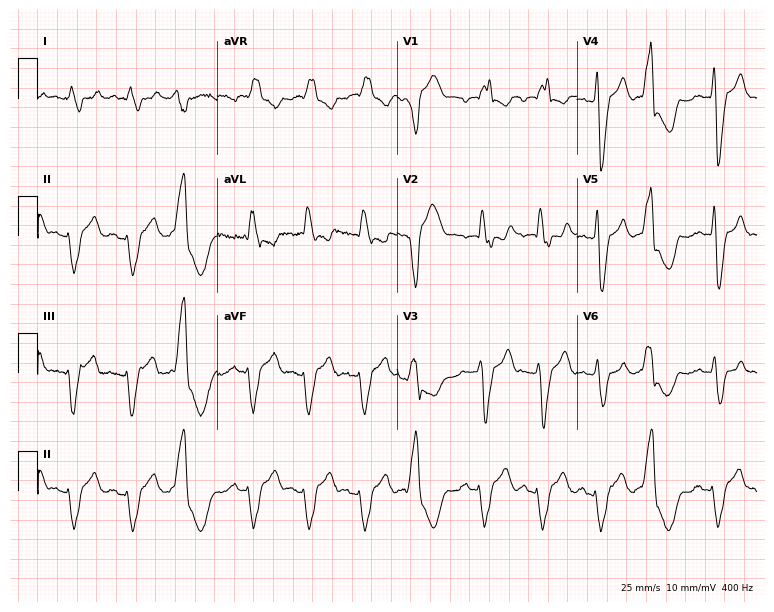
Resting 12-lead electrocardiogram. Patient: a man, 67 years old. The tracing shows right bundle branch block.